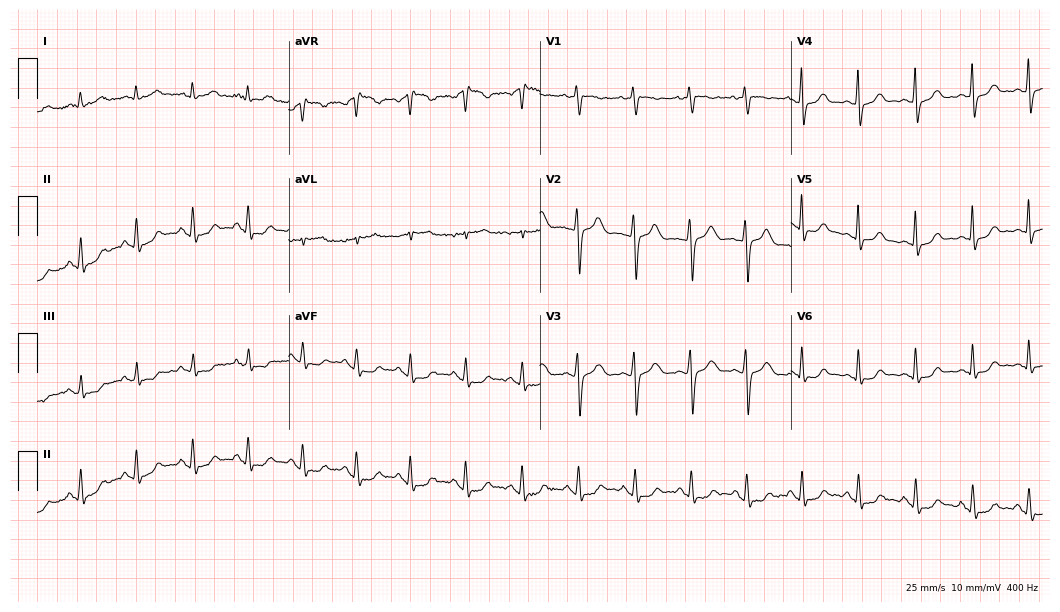
12-lead ECG from a woman, 33 years old (10.2-second recording at 400 Hz). Shows sinus tachycardia (a sinus rate of 100 beats per minute or more).